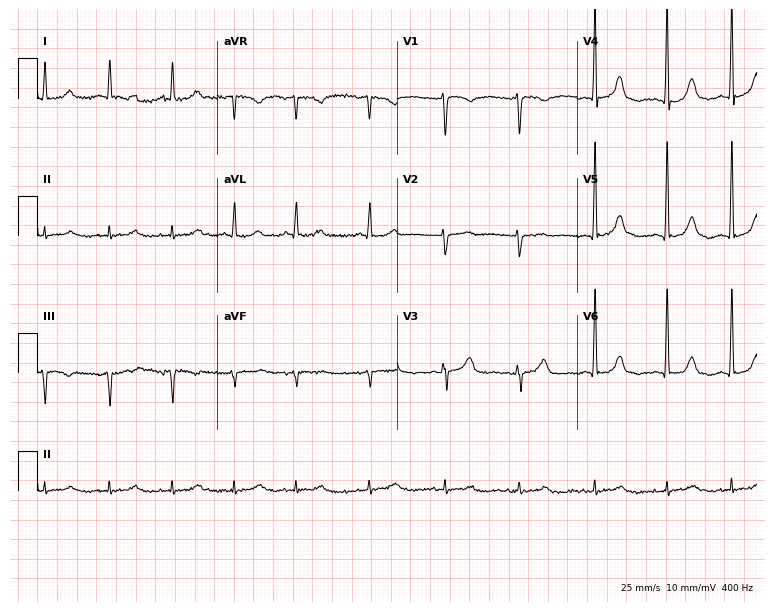
12-lead ECG from a 76-year-old woman (7.3-second recording at 400 Hz). No first-degree AV block, right bundle branch block, left bundle branch block, sinus bradycardia, atrial fibrillation or sinus tachycardia recorded for this tracing. Findings outside these six are not listed.